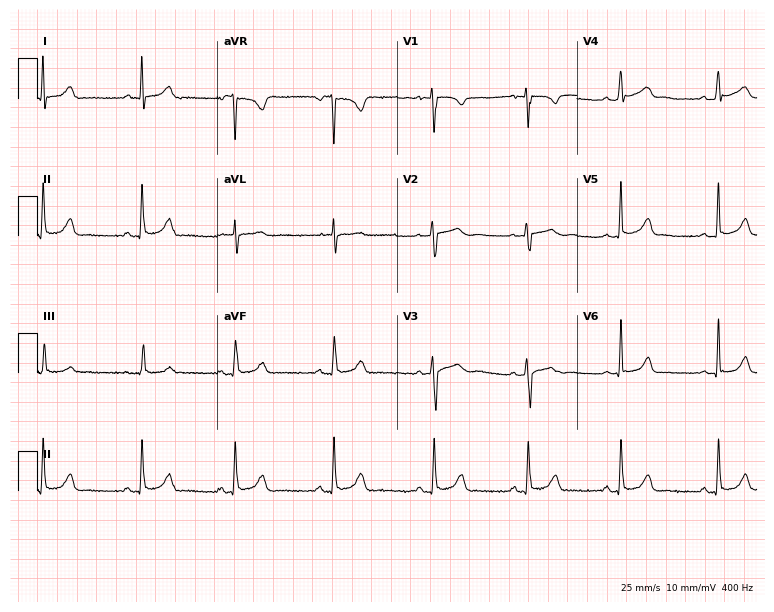
12-lead ECG from an 18-year-old woman. Labelled as a normal ECG.